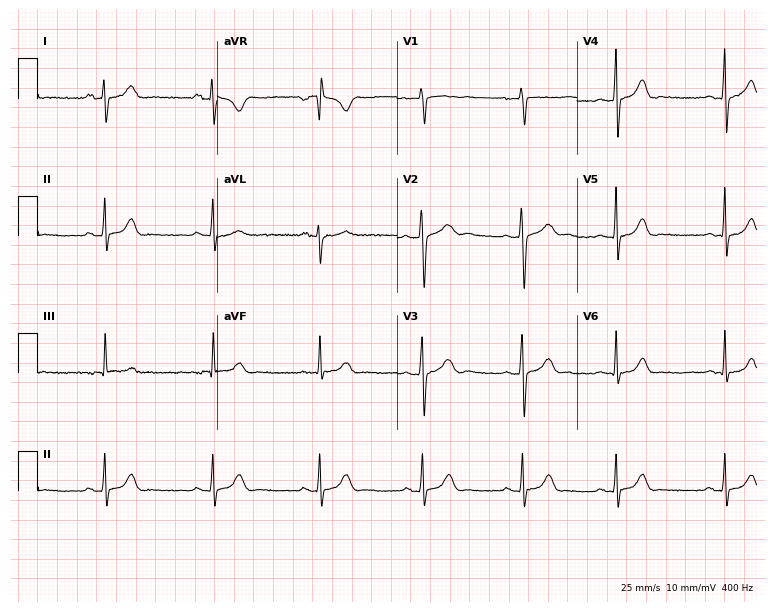
12-lead ECG from an 18-year-old female (7.3-second recording at 400 Hz). No first-degree AV block, right bundle branch block, left bundle branch block, sinus bradycardia, atrial fibrillation or sinus tachycardia recorded for this tracing.